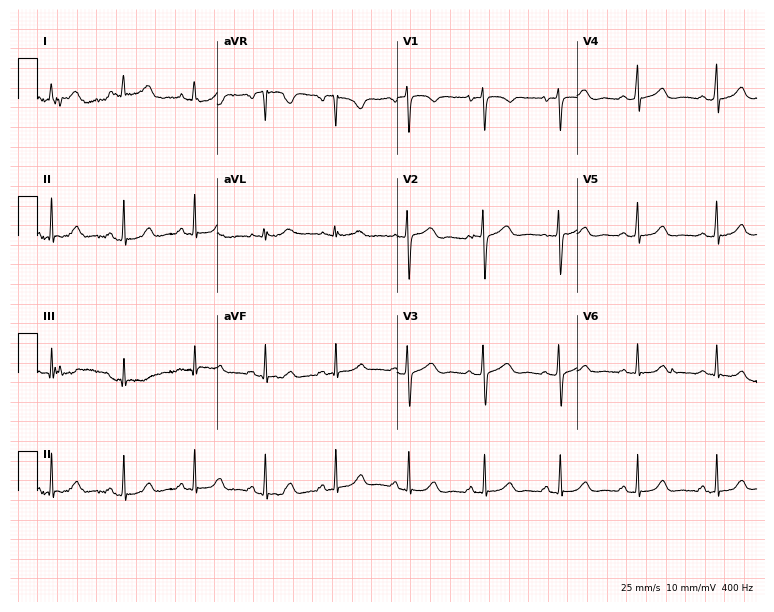
ECG (7.3-second recording at 400 Hz) — a female, 47 years old. Labelled as a normal ECG.